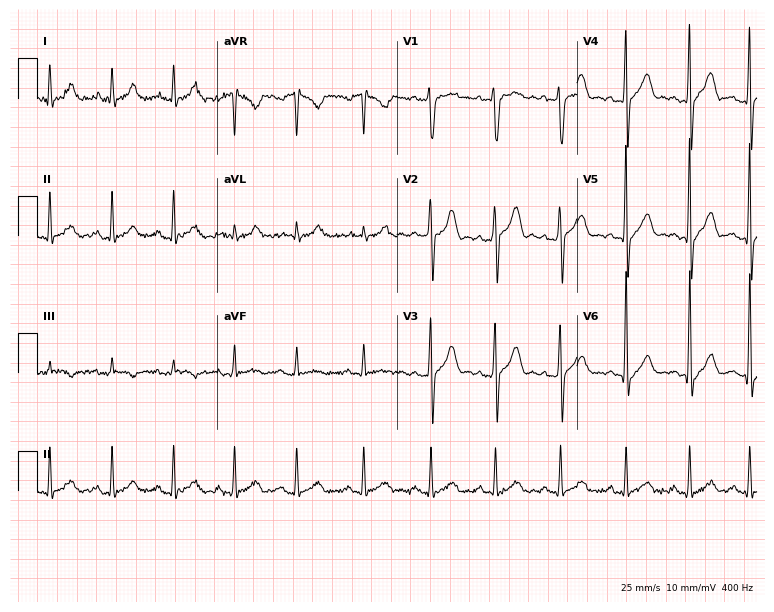
Electrocardiogram, a 31-year-old man. Of the six screened findings (first-degree AV block, right bundle branch block, left bundle branch block, sinus bradycardia, atrial fibrillation, sinus tachycardia), none is recorded.